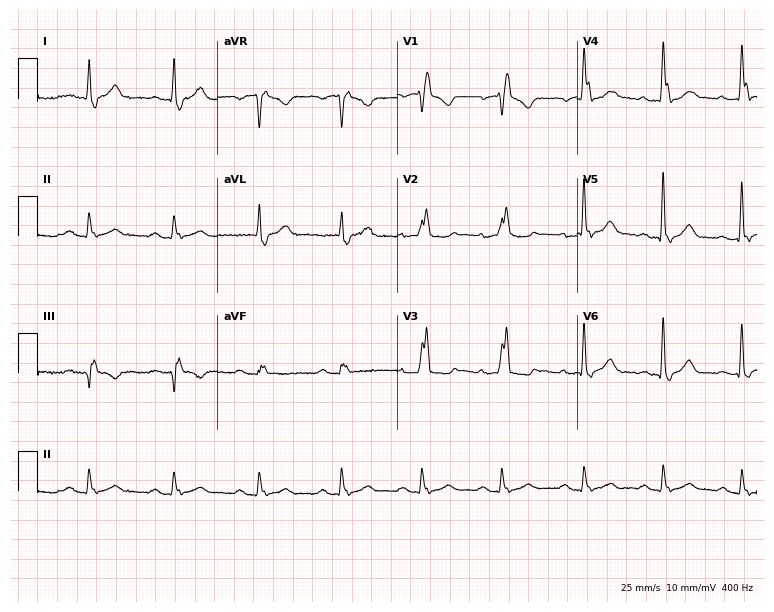
Resting 12-lead electrocardiogram. Patient: a 74-year-old male. The tracing shows first-degree AV block, right bundle branch block.